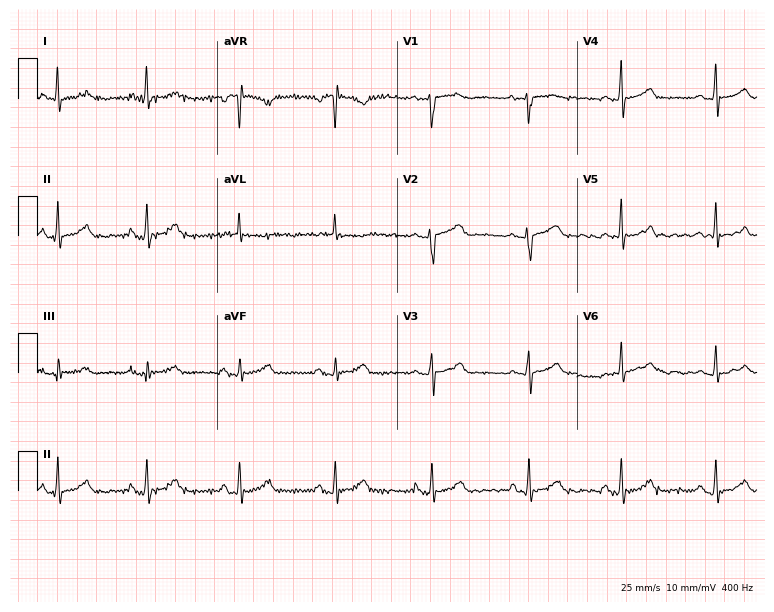
12-lead ECG from a woman, 68 years old. Labelled as a normal ECG.